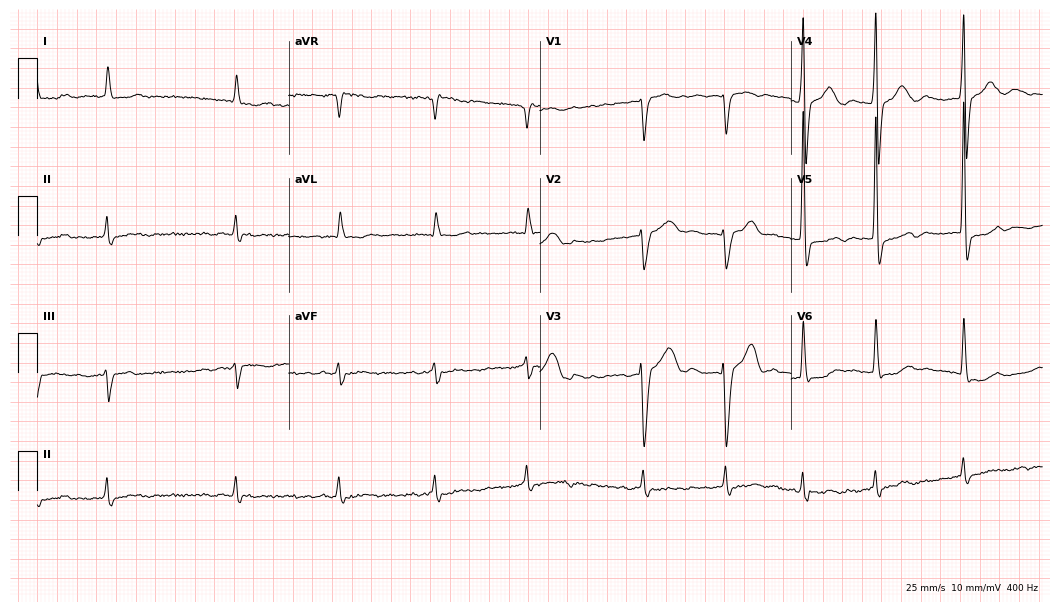
ECG (10.2-second recording at 400 Hz) — a male, 78 years old. Findings include left bundle branch block, atrial fibrillation.